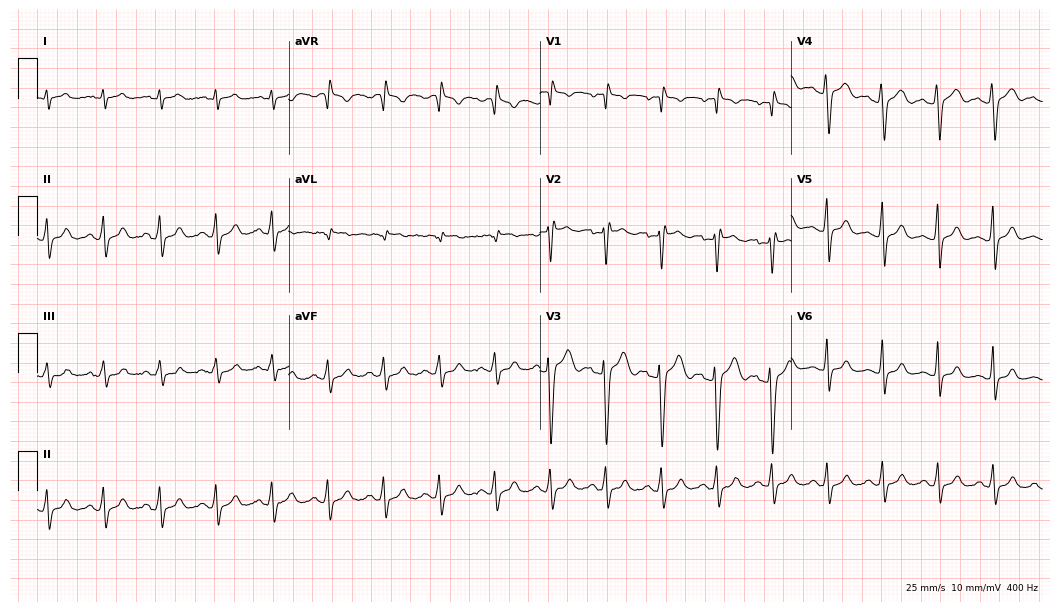
Resting 12-lead electrocardiogram. Patient: a 19-year-old man. None of these six findings is recorded: first-degree AV block, right bundle branch block, left bundle branch block, sinus bradycardia, atrial fibrillation, sinus tachycardia.